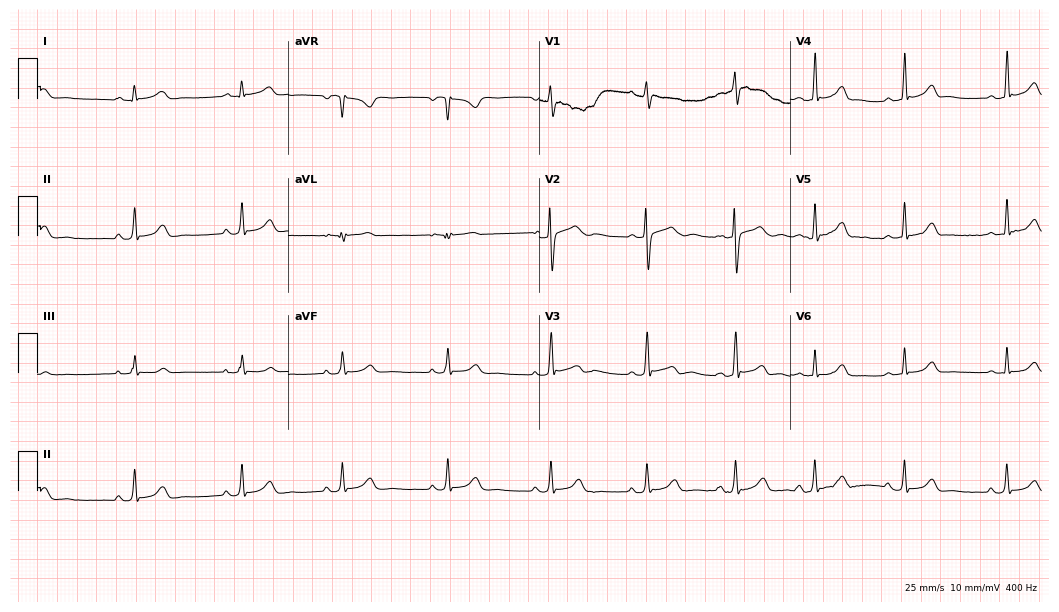
Standard 12-lead ECG recorded from a 17-year-old woman. Read as a normal ECG.